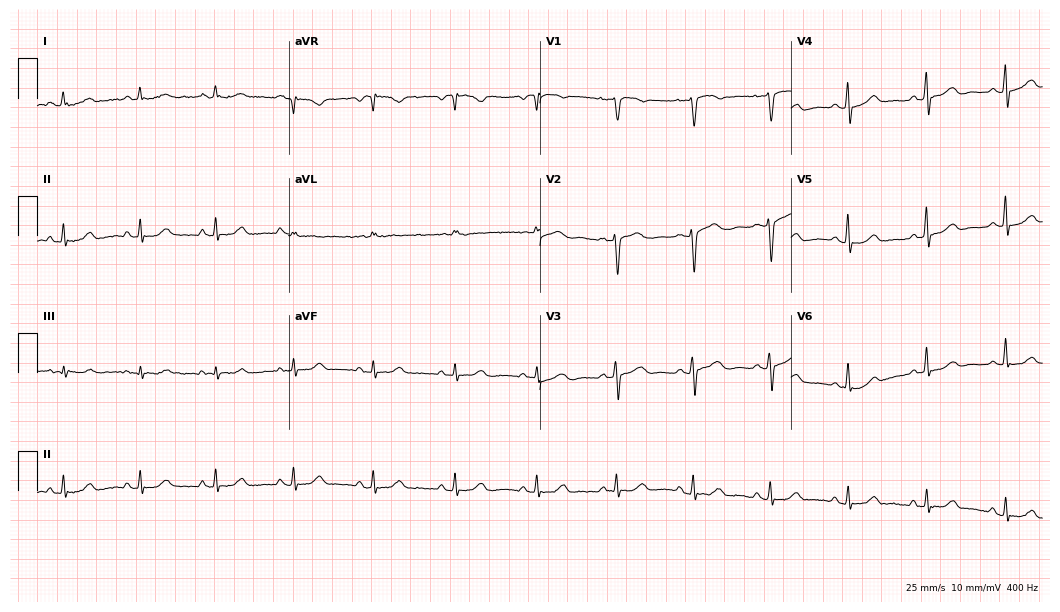
12-lead ECG from a 63-year-old woman (10.2-second recording at 400 Hz). Recorded interpretation: within normal limits.